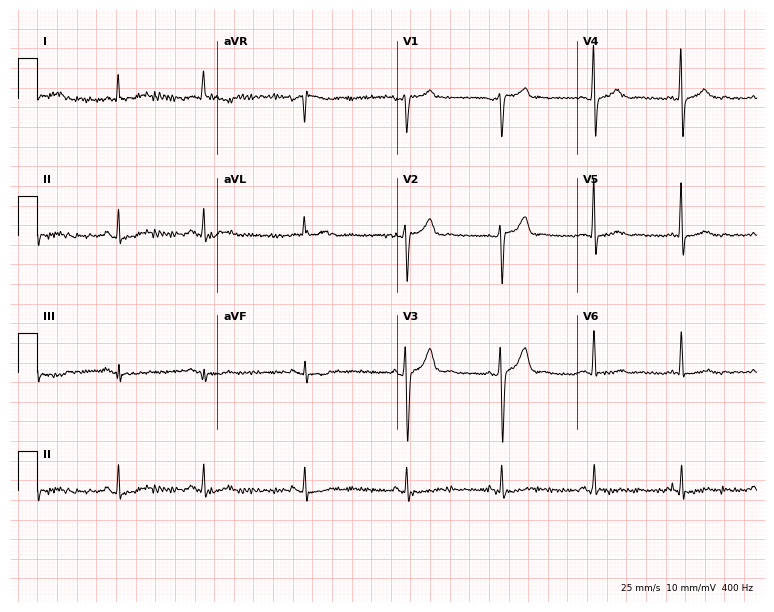
Electrocardiogram (7.3-second recording at 400 Hz), a 41-year-old male. Overall reading on record: normal ECG.